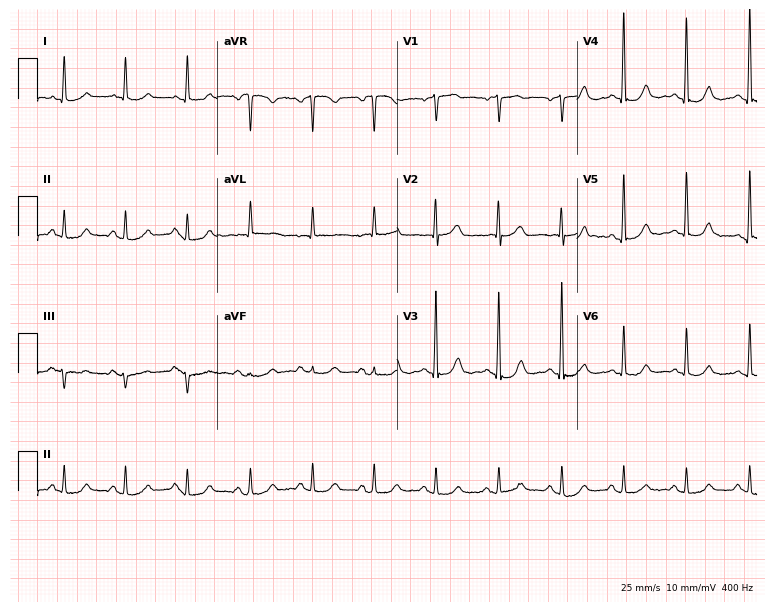
12-lead ECG from a female, 75 years old. Screened for six findings — first-degree AV block, right bundle branch block, left bundle branch block, sinus bradycardia, atrial fibrillation, sinus tachycardia — none is recorded. Other findings, if any, are not listed.